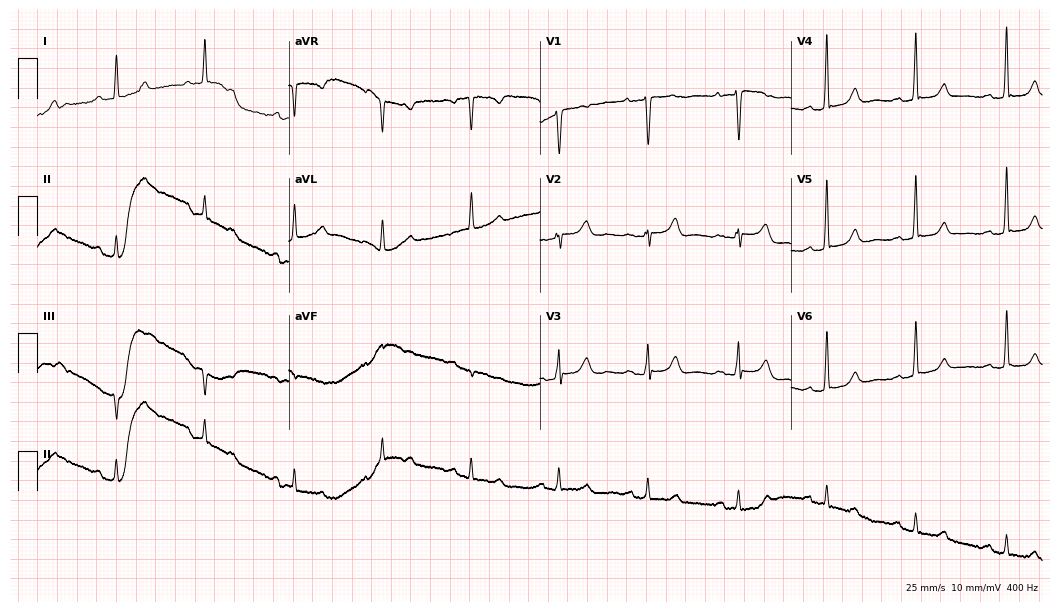
ECG (10.2-second recording at 400 Hz) — a female, 80 years old. Labelled as a normal ECG.